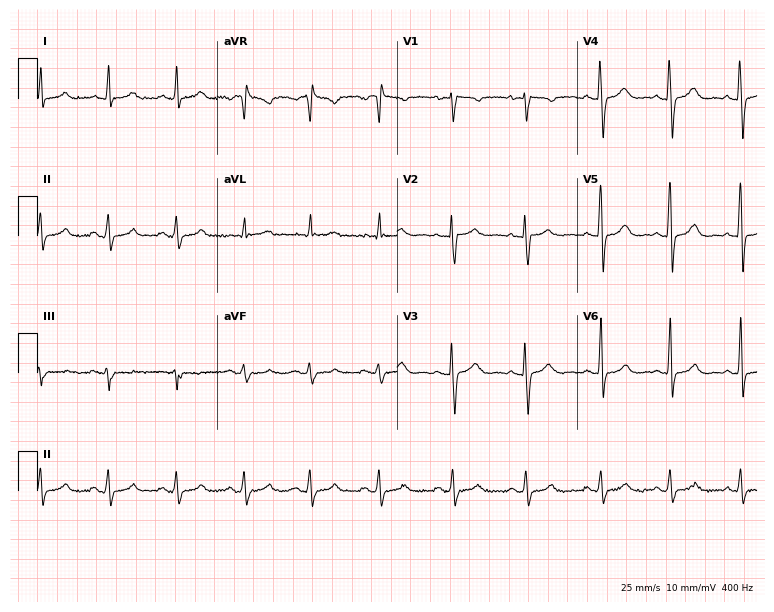
Standard 12-lead ECG recorded from a female patient, 33 years old. None of these six findings is recorded: first-degree AV block, right bundle branch block, left bundle branch block, sinus bradycardia, atrial fibrillation, sinus tachycardia.